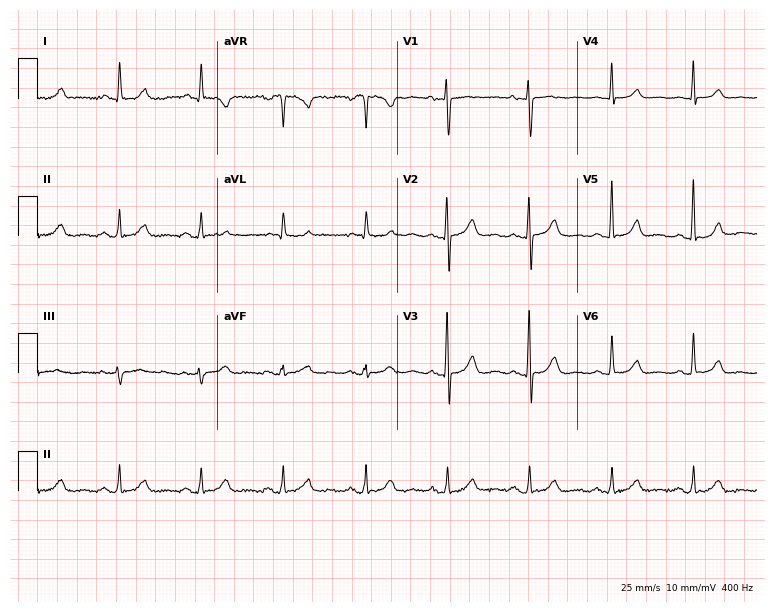
12-lead ECG (7.3-second recording at 400 Hz) from a 72-year-old woman. Labelled as a normal ECG.